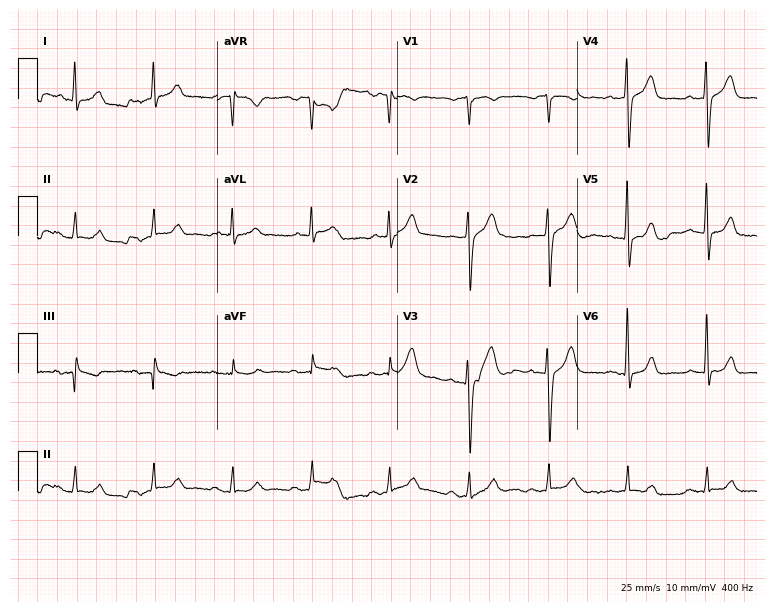
ECG (7.3-second recording at 400 Hz) — a male, 60 years old. Screened for six findings — first-degree AV block, right bundle branch block, left bundle branch block, sinus bradycardia, atrial fibrillation, sinus tachycardia — none is recorded. Findings outside these six are not listed.